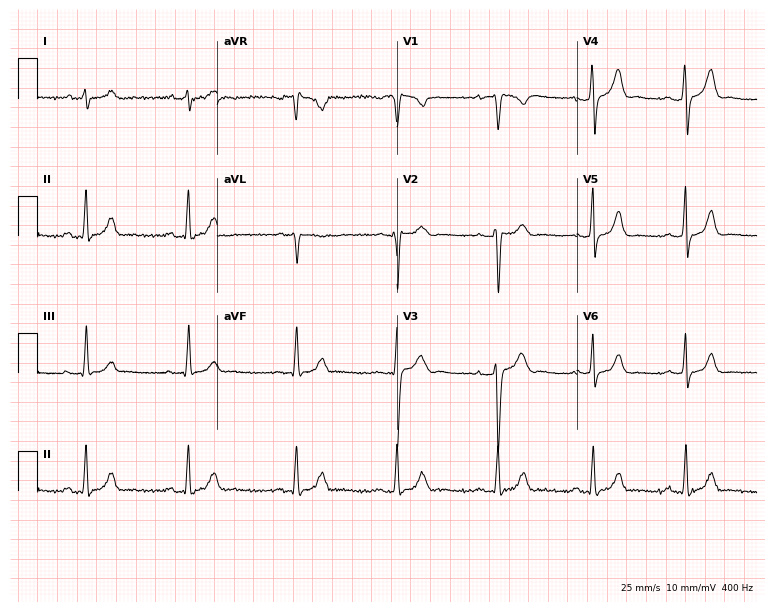
12-lead ECG (7.3-second recording at 400 Hz) from a 32-year-old male. Labelled as a normal ECG.